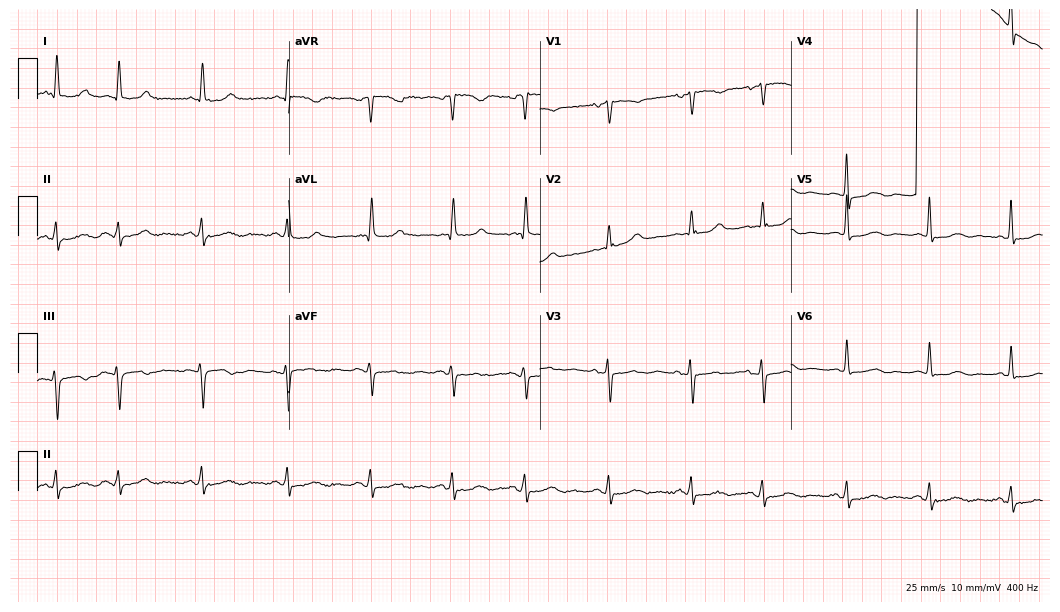
12-lead ECG (10.2-second recording at 400 Hz) from a female patient, 76 years old. Labelled as a normal ECG.